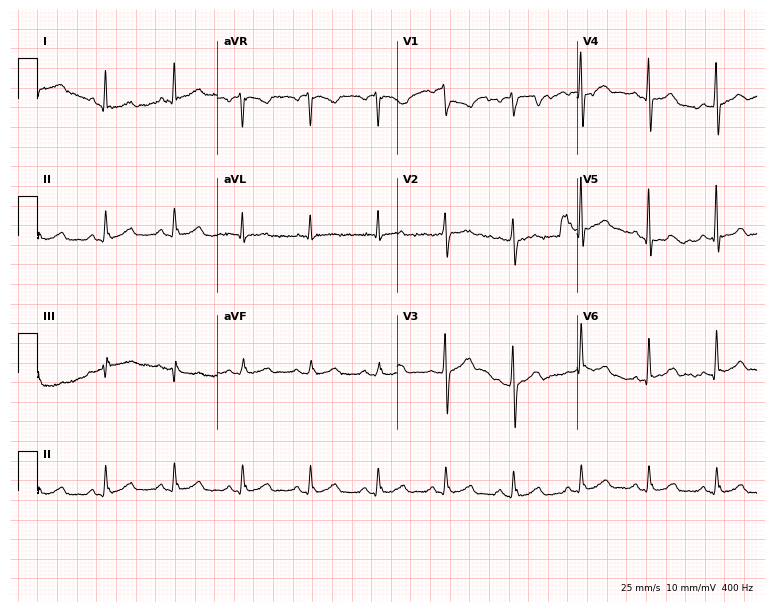
Electrocardiogram (7.3-second recording at 400 Hz), a 55-year-old man. Overall reading on record: normal ECG.